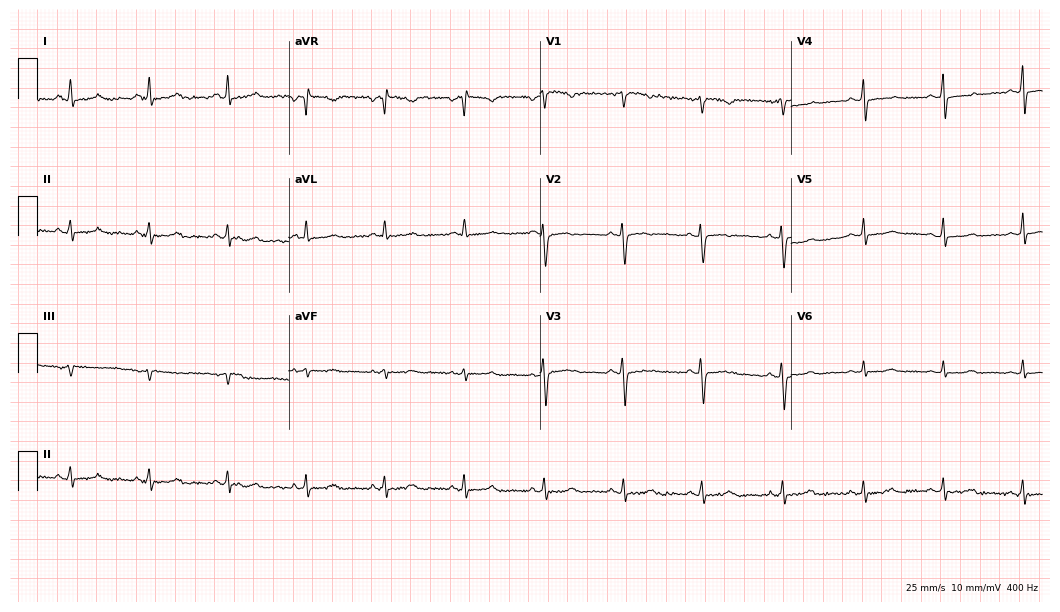
12-lead ECG from a 48-year-old woman. Screened for six findings — first-degree AV block, right bundle branch block (RBBB), left bundle branch block (LBBB), sinus bradycardia, atrial fibrillation (AF), sinus tachycardia — none is recorded. Other findings, if any, are not listed.